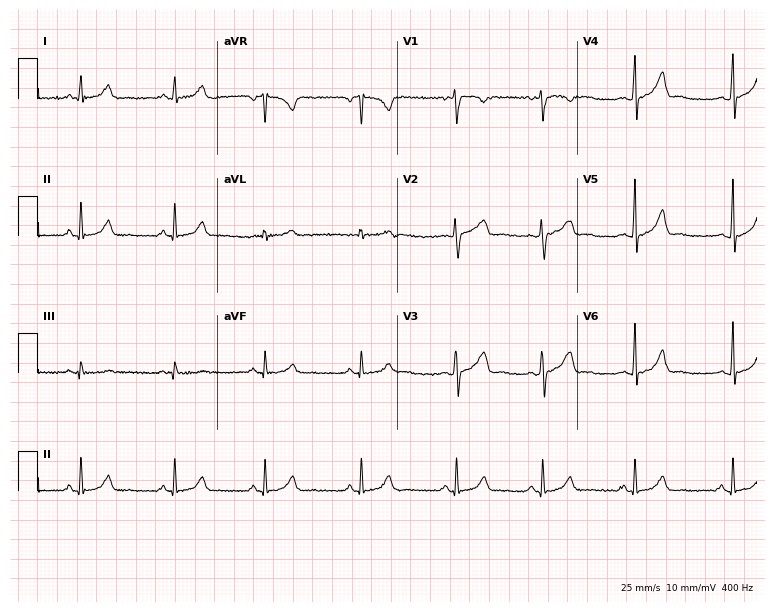
12-lead ECG (7.3-second recording at 400 Hz) from a female, 33 years old. Screened for six findings — first-degree AV block, right bundle branch block, left bundle branch block, sinus bradycardia, atrial fibrillation, sinus tachycardia — none is recorded.